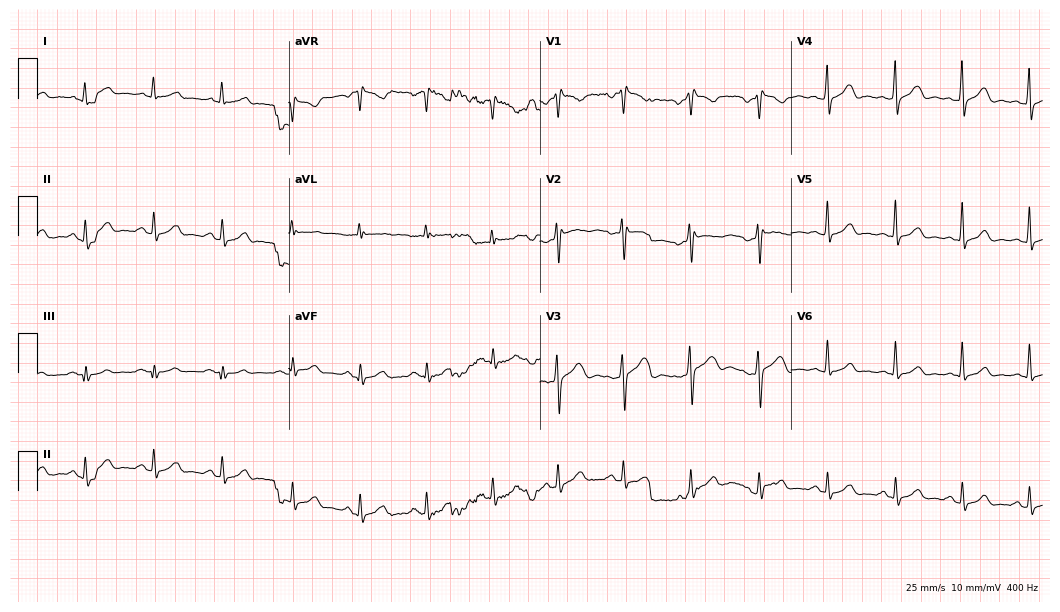
ECG (10.2-second recording at 400 Hz) — a 30-year-old male patient. Labelled as a normal ECG.